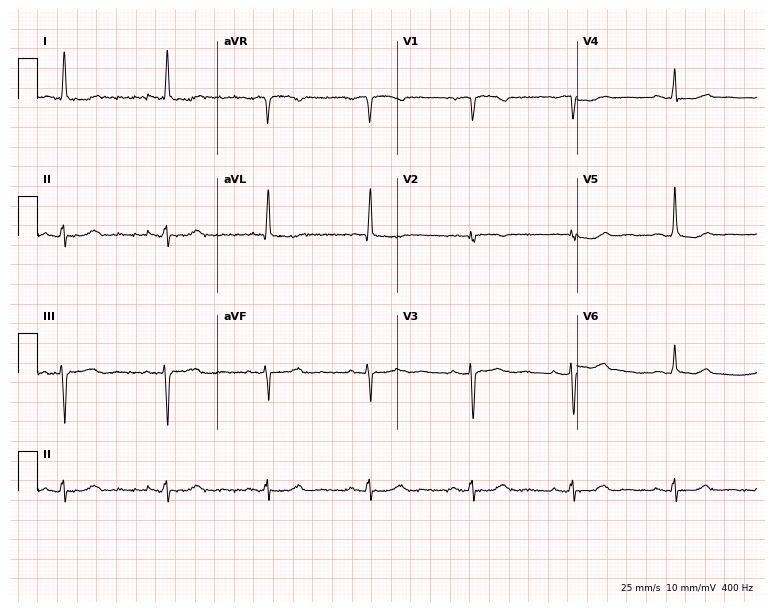
Standard 12-lead ECG recorded from a female patient, 81 years old. None of these six findings is recorded: first-degree AV block, right bundle branch block, left bundle branch block, sinus bradycardia, atrial fibrillation, sinus tachycardia.